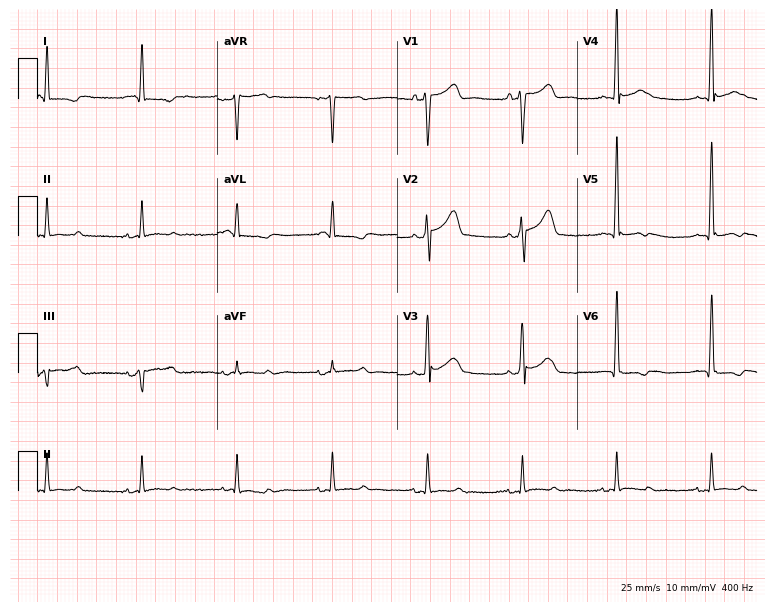
Resting 12-lead electrocardiogram (7.3-second recording at 400 Hz). Patient: a 67-year-old male. None of these six findings is recorded: first-degree AV block, right bundle branch block, left bundle branch block, sinus bradycardia, atrial fibrillation, sinus tachycardia.